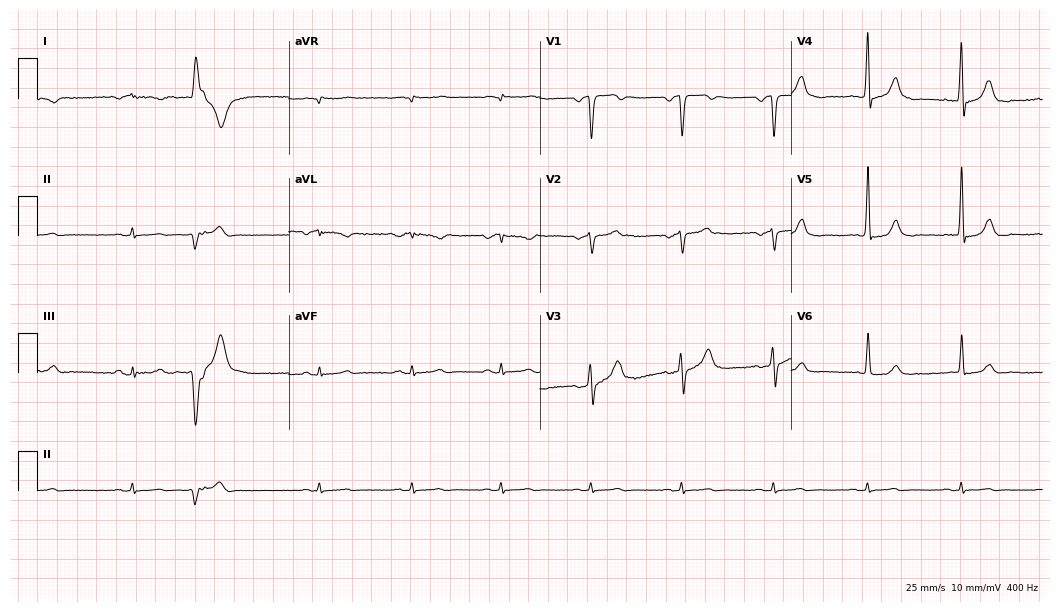
ECG (10.2-second recording at 400 Hz) — a female, 21 years old. Screened for six findings — first-degree AV block, right bundle branch block, left bundle branch block, sinus bradycardia, atrial fibrillation, sinus tachycardia — none is recorded. Other findings, if any, are not listed.